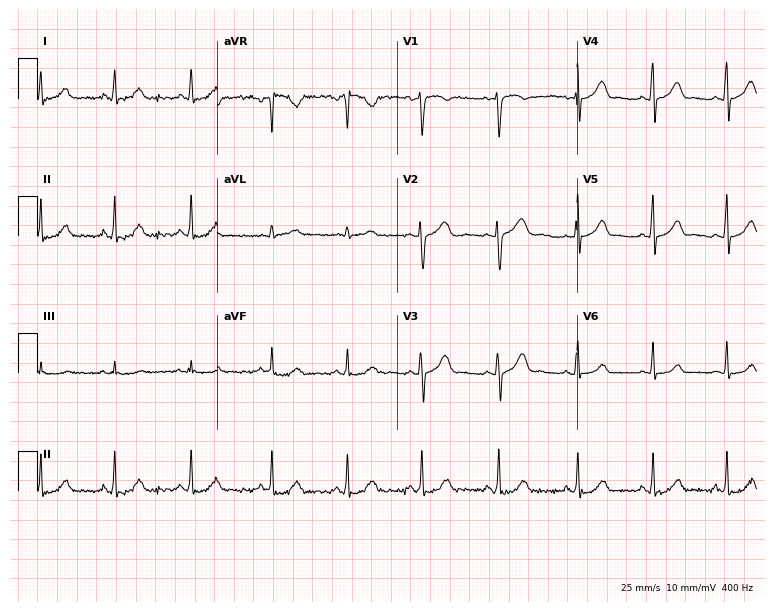
Electrocardiogram (7.3-second recording at 400 Hz), a 32-year-old female. Overall reading on record: normal ECG.